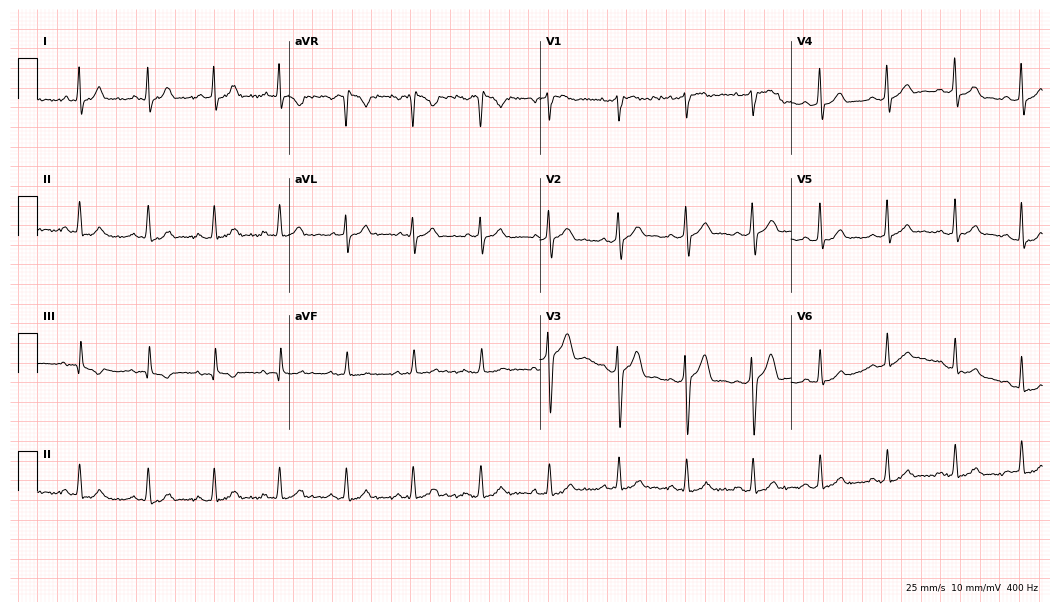
Electrocardiogram, a 20-year-old man. Overall reading on record: normal ECG.